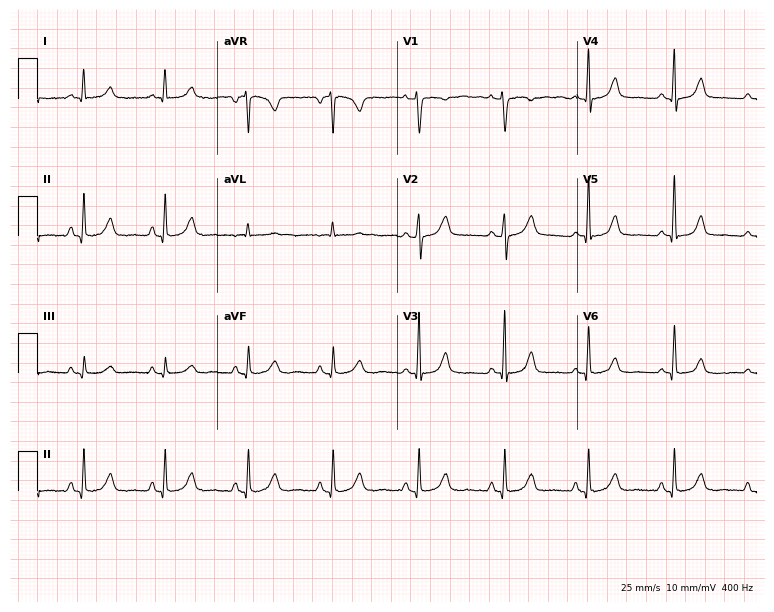
Standard 12-lead ECG recorded from a woman, 47 years old (7.3-second recording at 400 Hz). None of these six findings is recorded: first-degree AV block, right bundle branch block, left bundle branch block, sinus bradycardia, atrial fibrillation, sinus tachycardia.